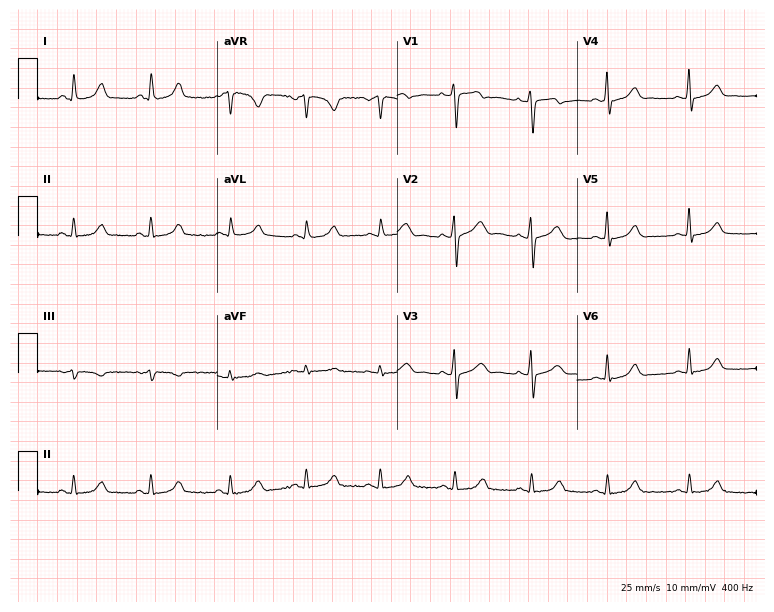
Standard 12-lead ECG recorded from a 34-year-old female. None of these six findings is recorded: first-degree AV block, right bundle branch block, left bundle branch block, sinus bradycardia, atrial fibrillation, sinus tachycardia. Findings outside these six are not listed.